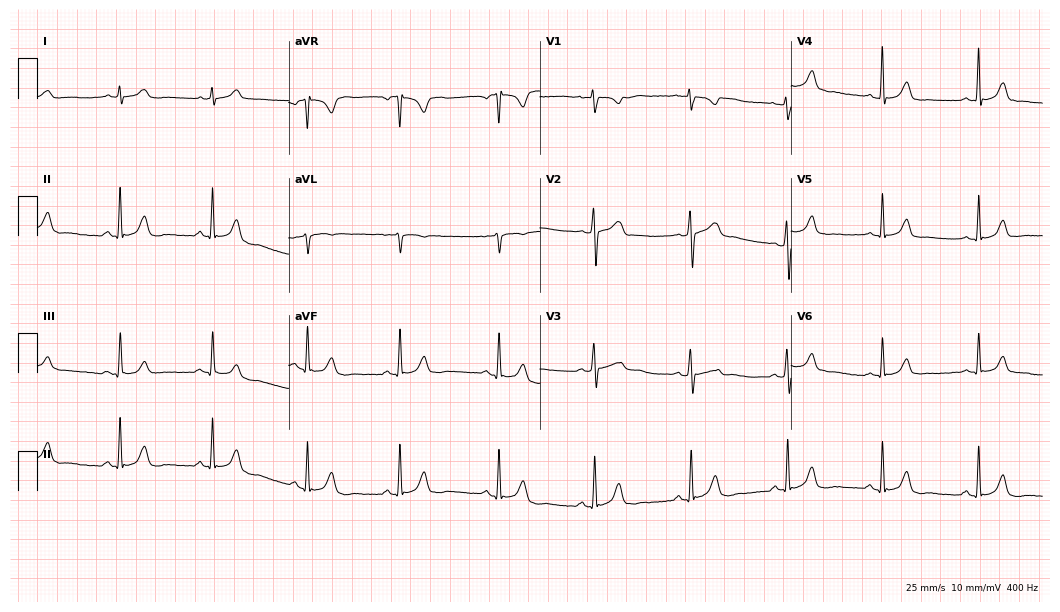
ECG (10.2-second recording at 400 Hz) — a 33-year-old woman. Labelled as a normal ECG.